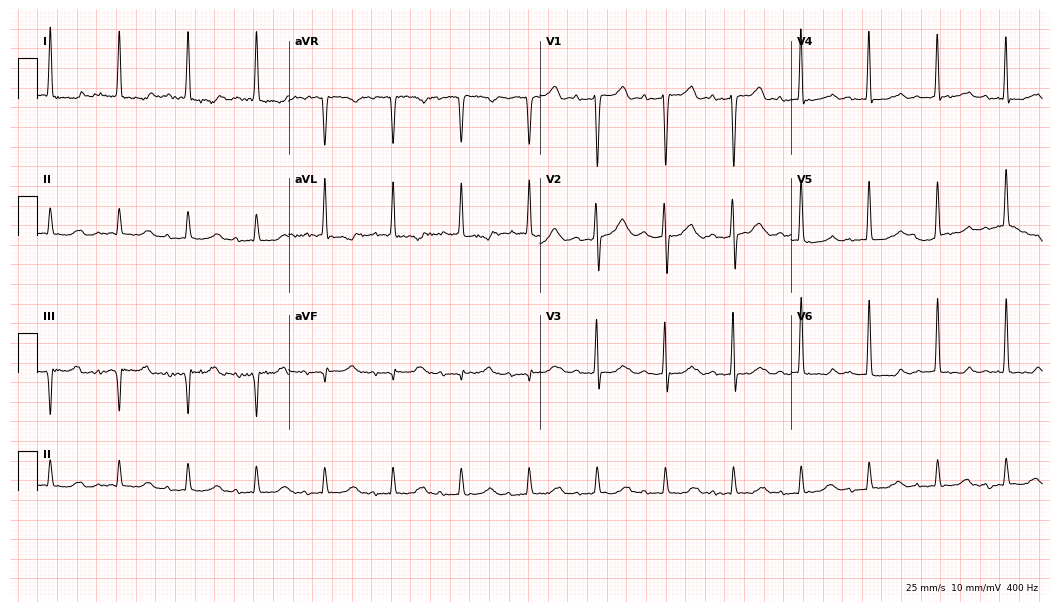
Resting 12-lead electrocardiogram. Patient: an 81-year-old female. None of these six findings is recorded: first-degree AV block, right bundle branch block, left bundle branch block, sinus bradycardia, atrial fibrillation, sinus tachycardia.